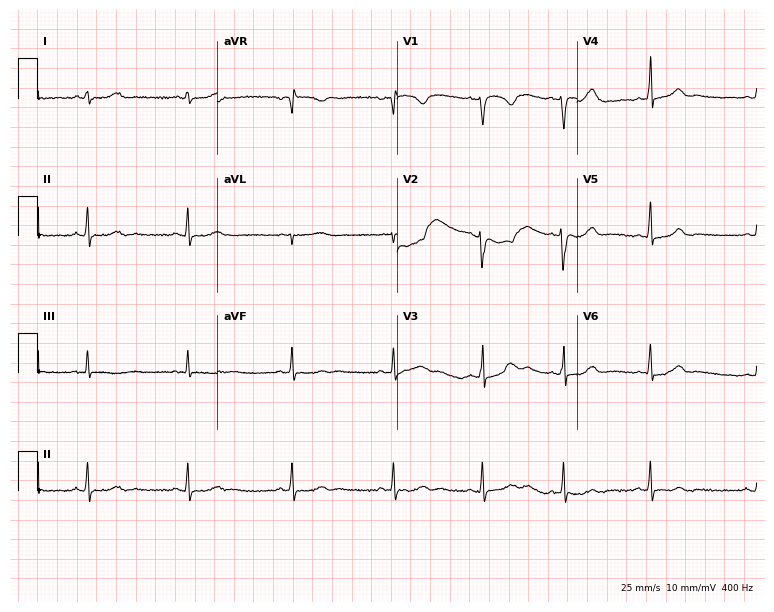
Standard 12-lead ECG recorded from a 20-year-old female patient (7.3-second recording at 400 Hz). None of these six findings is recorded: first-degree AV block, right bundle branch block, left bundle branch block, sinus bradycardia, atrial fibrillation, sinus tachycardia.